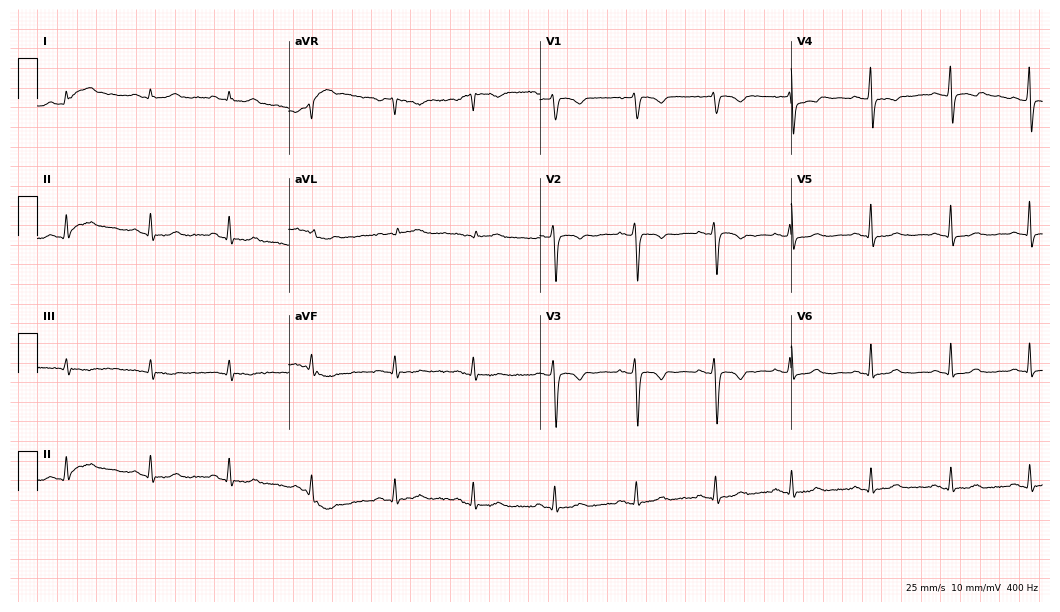
ECG (10.2-second recording at 400 Hz) — a woman, 49 years old. Labelled as a normal ECG.